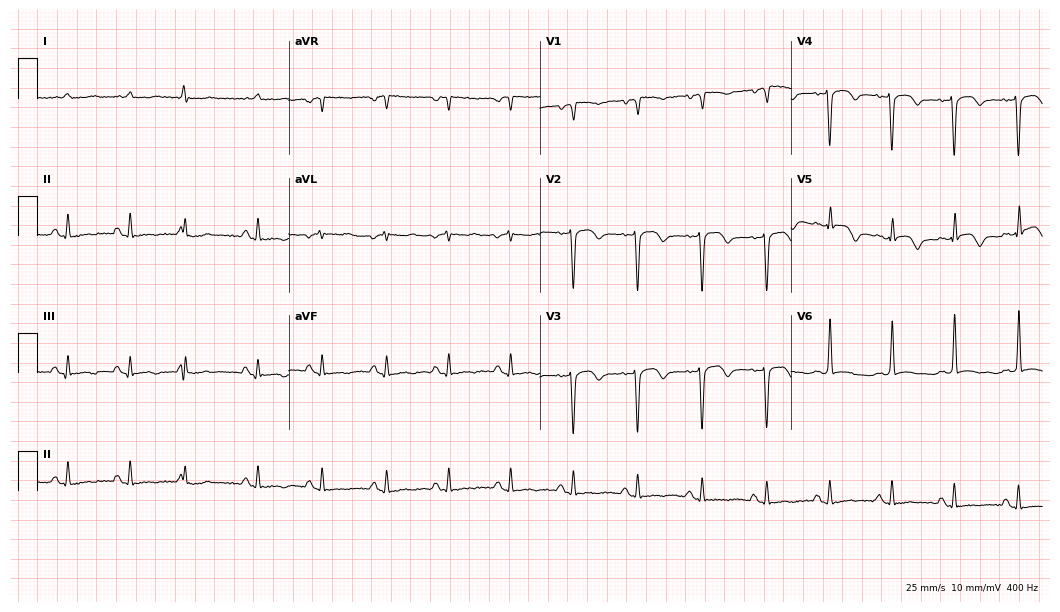
Standard 12-lead ECG recorded from a 79-year-old woman. None of these six findings is recorded: first-degree AV block, right bundle branch block, left bundle branch block, sinus bradycardia, atrial fibrillation, sinus tachycardia. Findings outside these six are not listed.